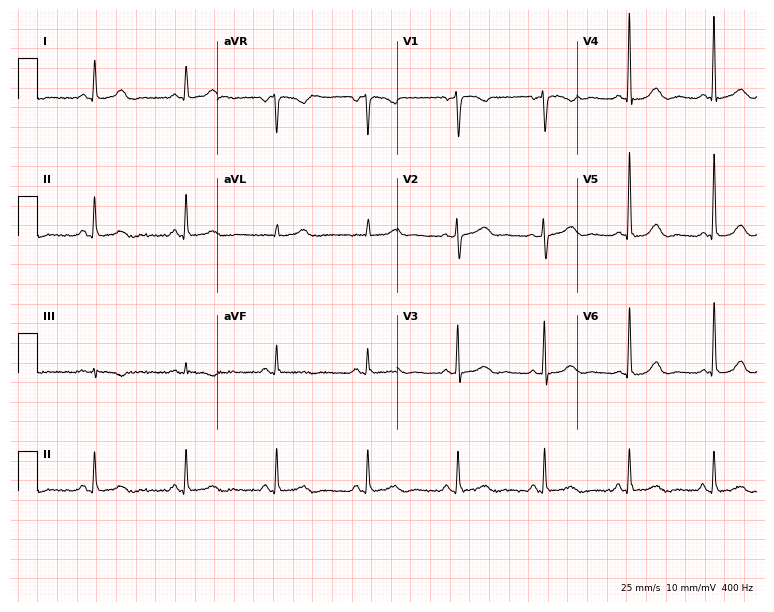
12-lead ECG from a 58-year-old female (7.3-second recording at 400 Hz). No first-degree AV block, right bundle branch block, left bundle branch block, sinus bradycardia, atrial fibrillation or sinus tachycardia recorded for this tracing. Other findings, if any, are not listed.